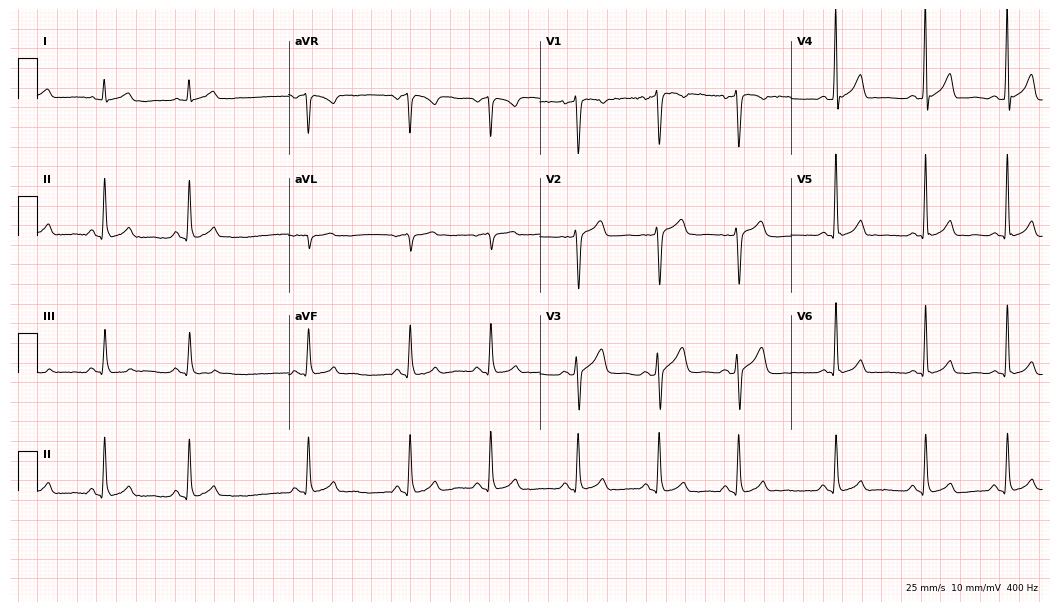
Resting 12-lead electrocardiogram (10.2-second recording at 400 Hz). Patient: a 35-year-old male. Read as a normal ECG.